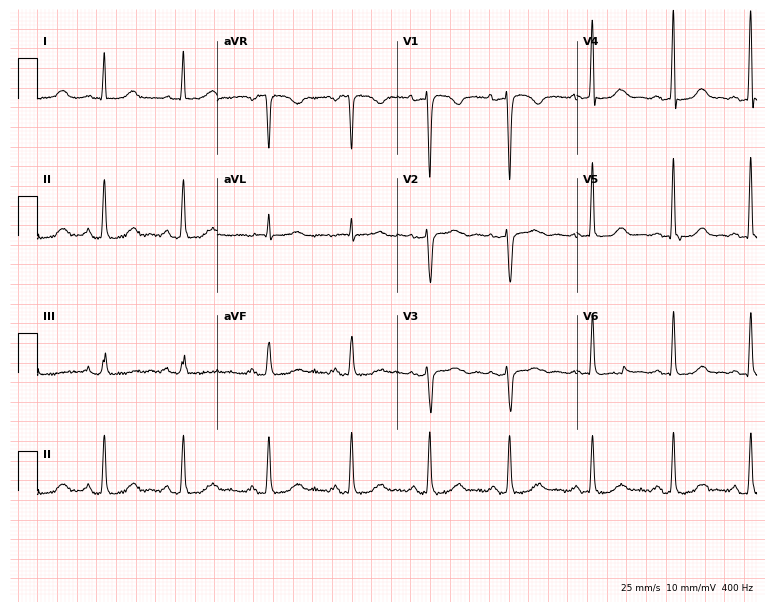
ECG — a 45-year-old female. Screened for six findings — first-degree AV block, right bundle branch block, left bundle branch block, sinus bradycardia, atrial fibrillation, sinus tachycardia — none is recorded.